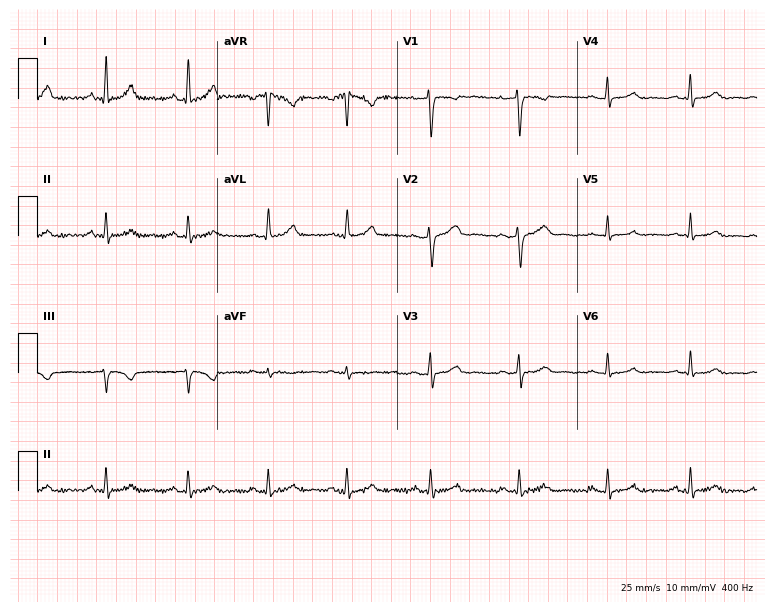
Standard 12-lead ECG recorded from a woman, 42 years old. Read as a normal ECG.